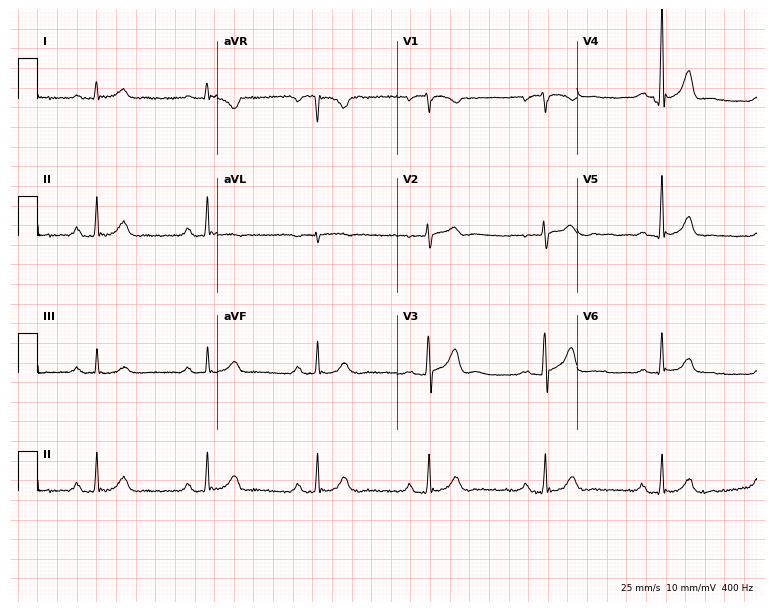
ECG (7.3-second recording at 400 Hz) — a male, 53 years old. Labelled as a normal ECG.